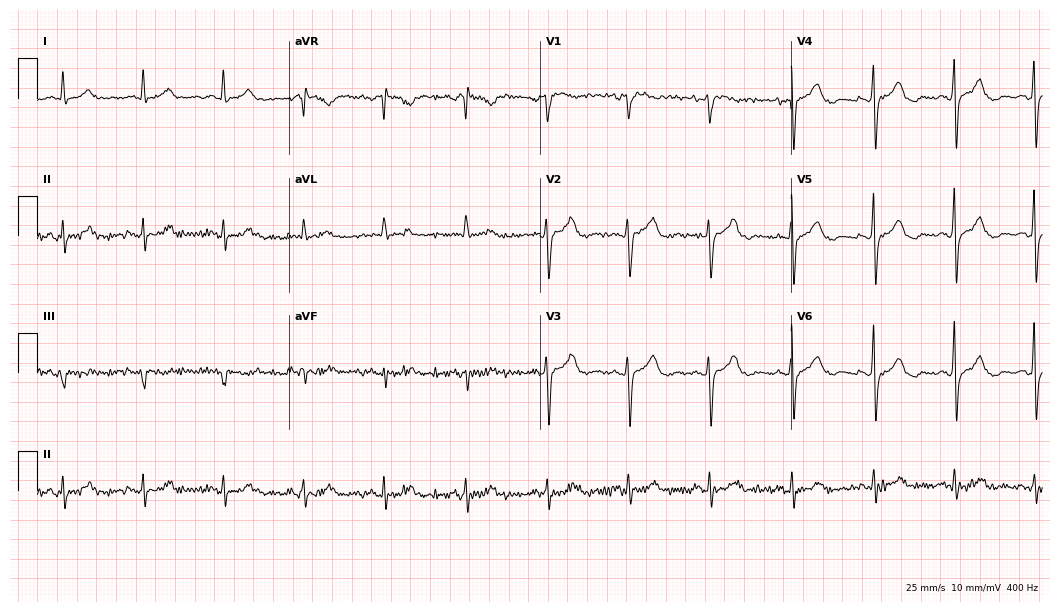
12-lead ECG from an 80-year-old woman. Labelled as a normal ECG.